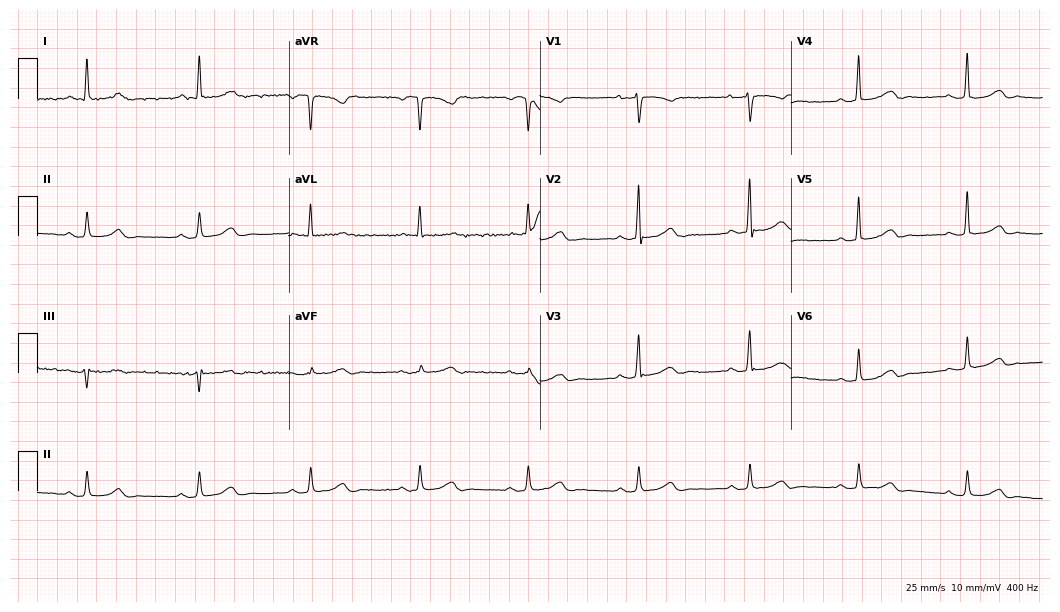
Standard 12-lead ECG recorded from a 59-year-old female (10.2-second recording at 400 Hz). Read as a normal ECG.